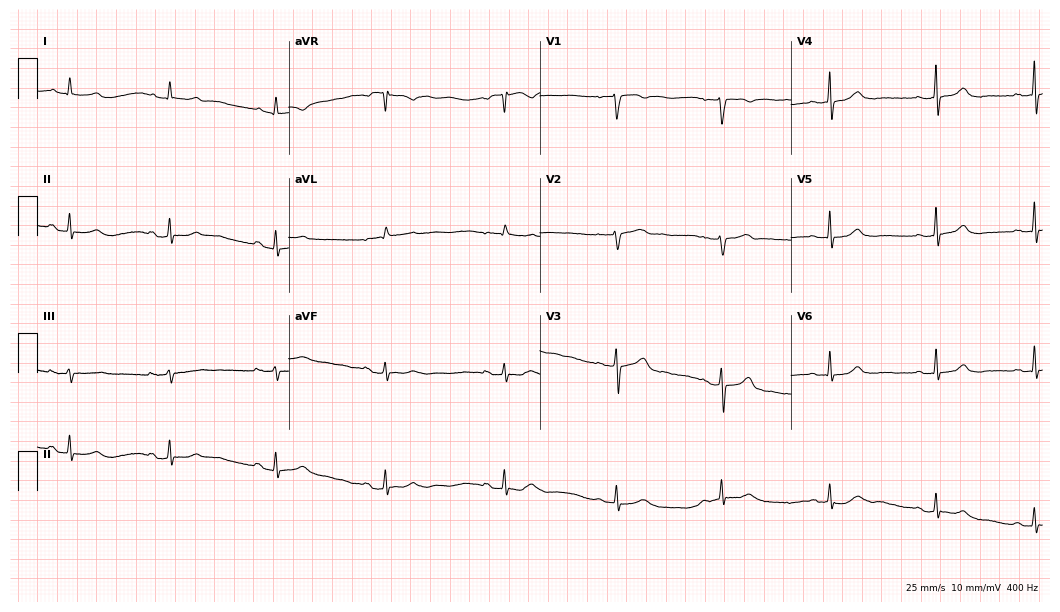
12-lead ECG from a woman, 37 years old. Recorded interpretation: within normal limits.